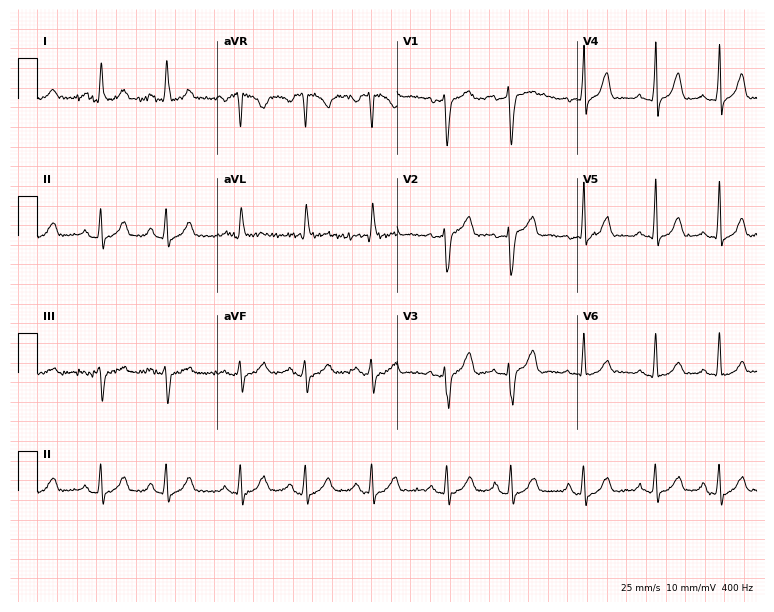
Resting 12-lead electrocardiogram (7.3-second recording at 400 Hz). Patient: a female, 61 years old. Read as a normal ECG.